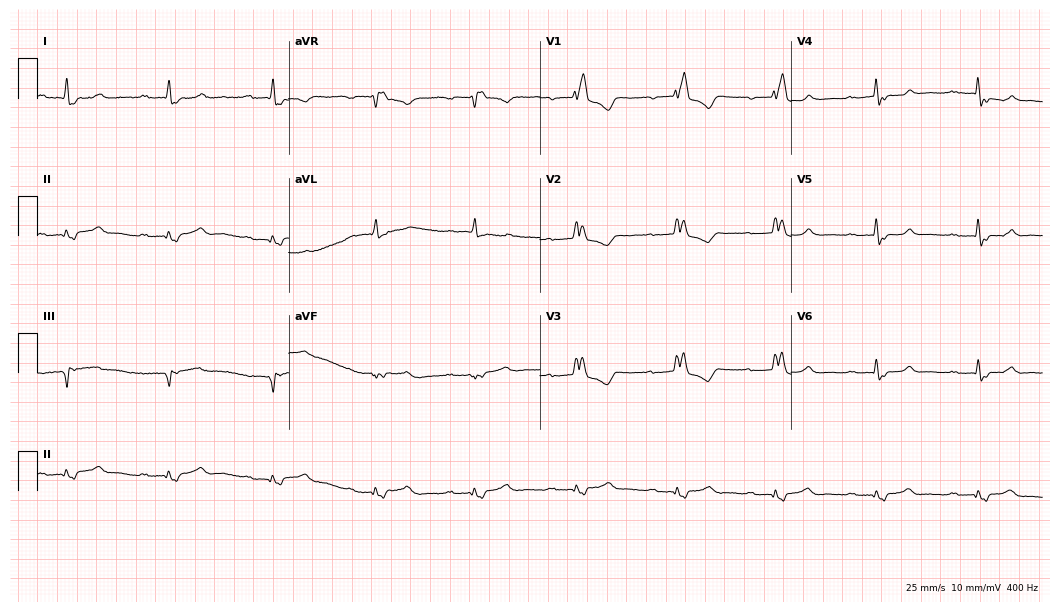
Resting 12-lead electrocardiogram. Patient: a woman, 61 years old. The tracing shows first-degree AV block, right bundle branch block (RBBB).